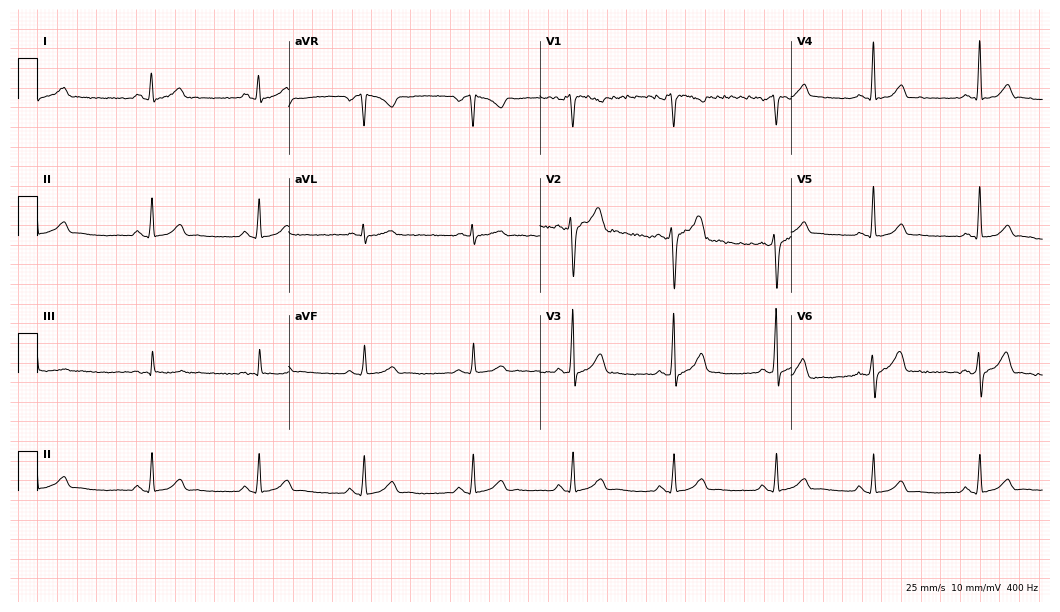
Standard 12-lead ECG recorded from a man, 37 years old. None of these six findings is recorded: first-degree AV block, right bundle branch block (RBBB), left bundle branch block (LBBB), sinus bradycardia, atrial fibrillation (AF), sinus tachycardia. Other findings, if any, are not listed.